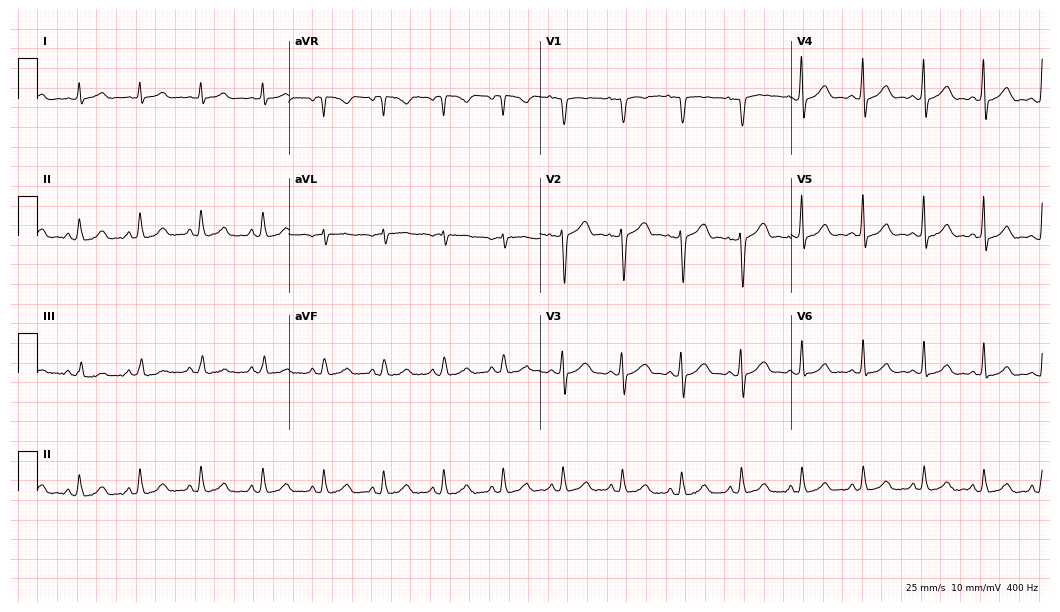
Electrocardiogram (10.2-second recording at 400 Hz), a woman, 28 years old. Overall reading on record: normal ECG.